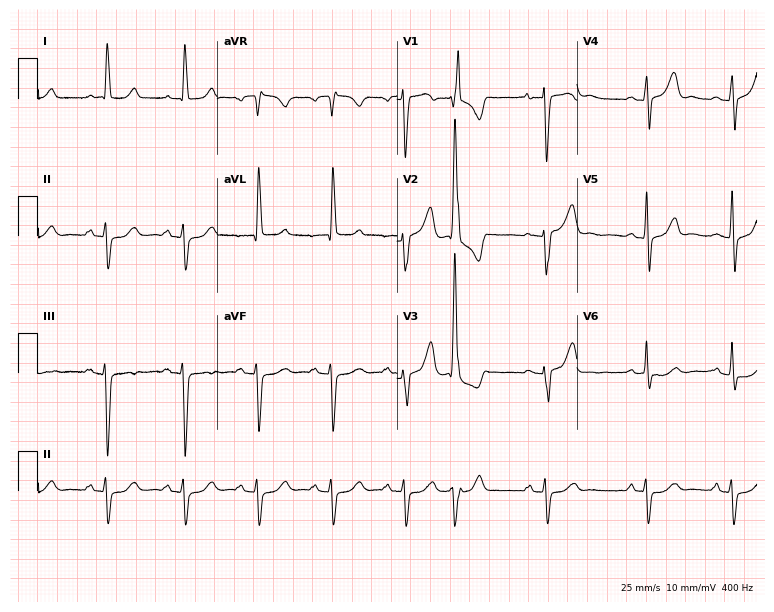
ECG (7.3-second recording at 400 Hz) — a 79-year-old woman. Screened for six findings — first-degree AV block, right bundle branch block, left bundle branch block, sinus bradycardia, atrial fibrillation, sinus tachycardia — none is recorded.